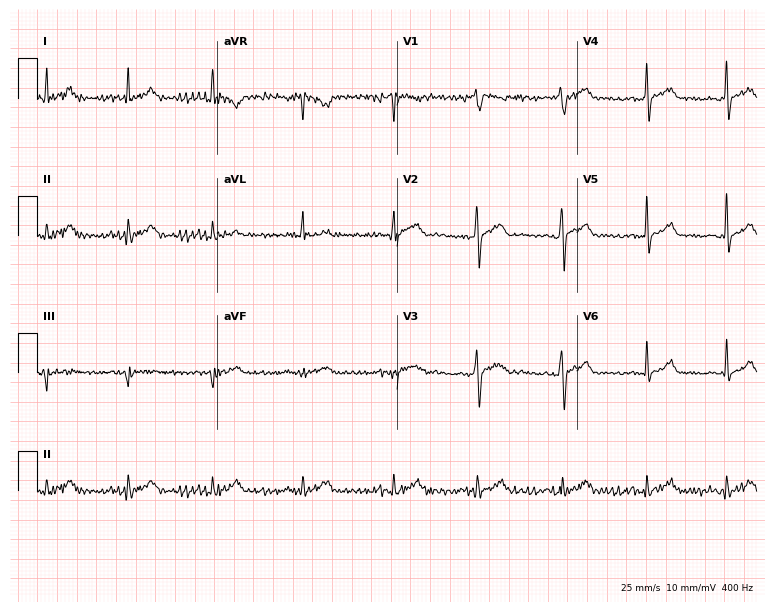
Standard 12-lead ECG recorded from a man, 35 years old. Read as a normal ECG.